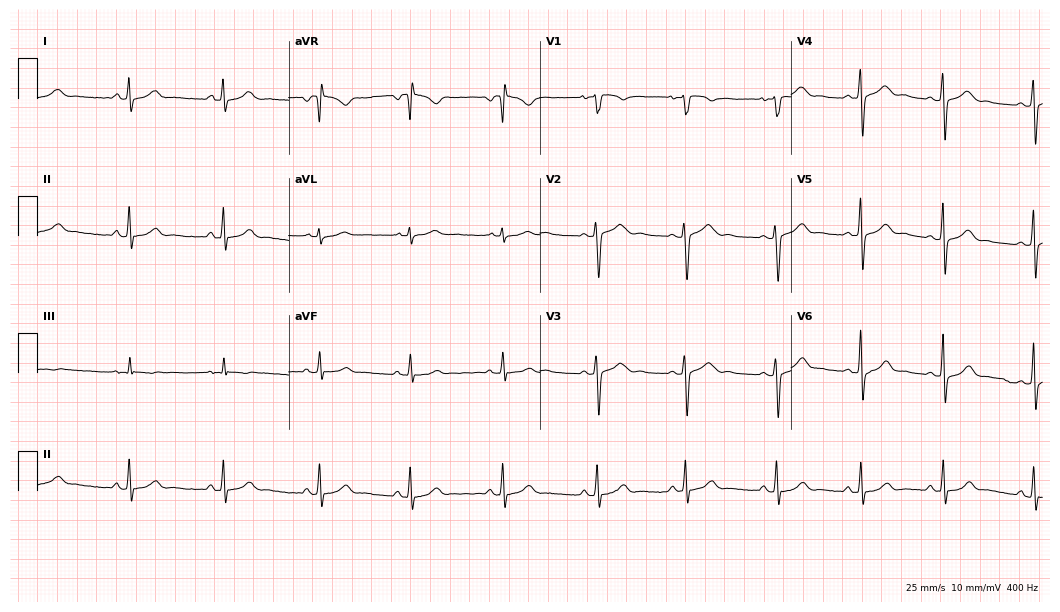
Resting 12-lead electrocardiogram (10.2-second recording at 400 Hz). Patient: a 20-year-old female. None of these six findings is recorded: first-degree AV block, right bundle branch block (RBBB), left bundle branch block (LBBB), sinus bradycardia, atrial fibrillation (AF), sinus tachycardia.